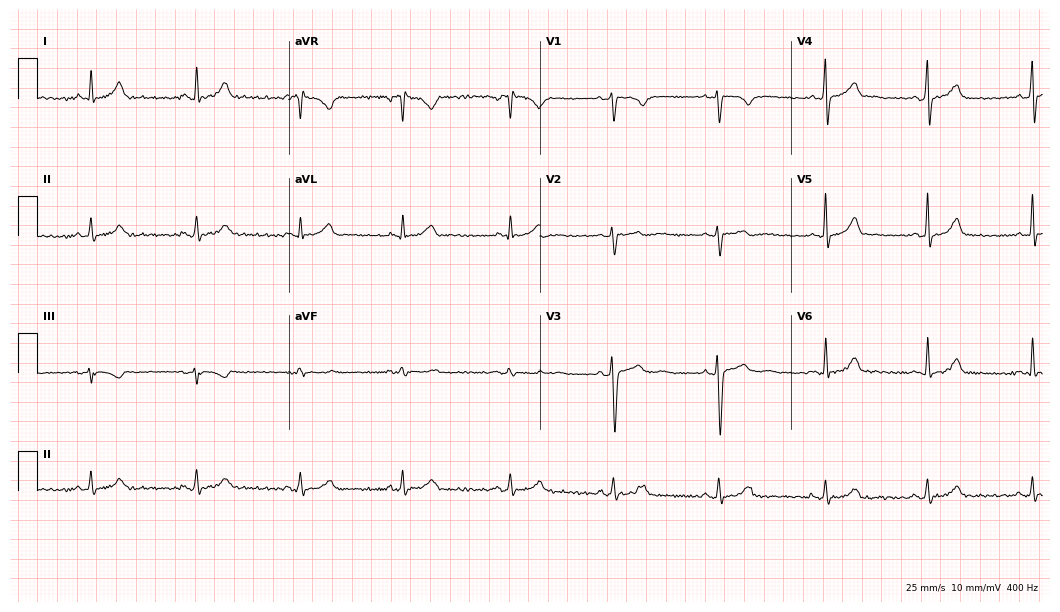
12-lead ECG from a 31-year-old female. Screened for six findings — first-degree AV block, right bundle branch block (RBBB), left bundle branch block (LBBB), sinus bradycardia, atrial fibrillation (AF), sinus tachycardia — none is recorded. Findings outside these six are not listed.